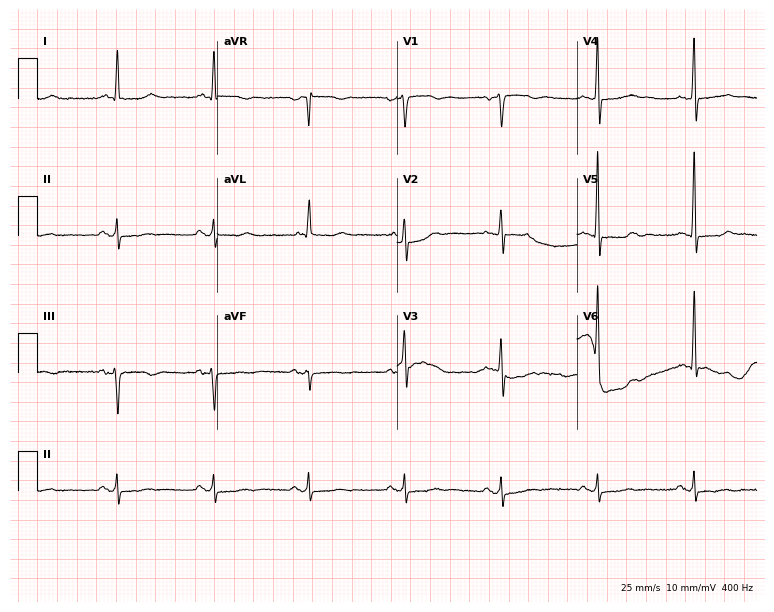
Standard 12-lead ECG recorded from a male patient, 69 years old. None of these six findings is recorded: first-degree AV block, right bundle branch block (RBBB), left bundle branch block (LBBB), sinus bradycardia, atrial fibrillation (AF), sinus tachycardia. Findings outside these six are not listed.